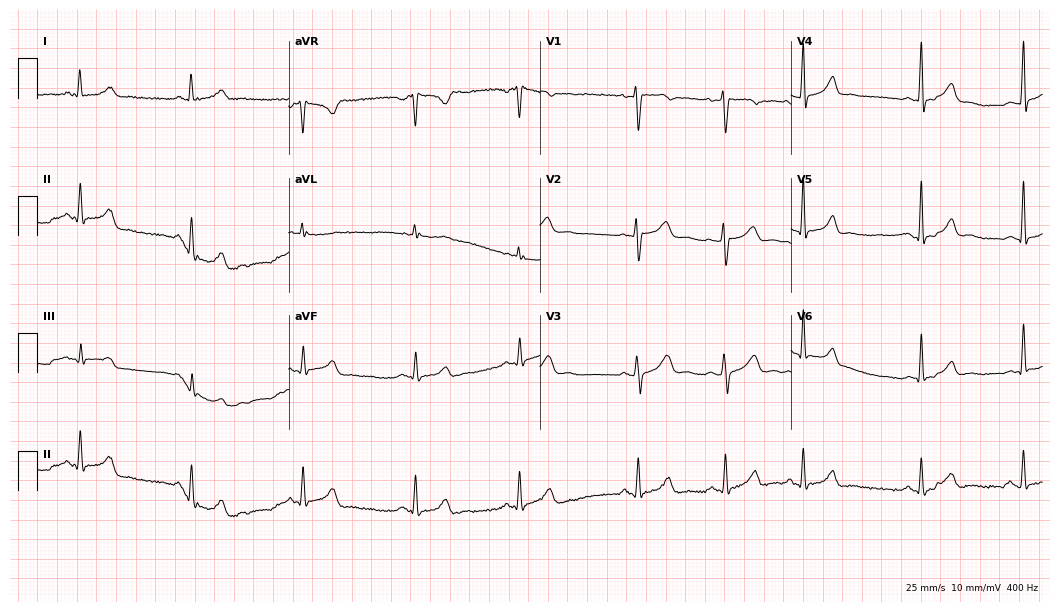
Resting 12-lead electrocardiogram (10.2-second recording at 400 Hz). Patient: a female, 36 years old. None of these six findings is recorded: first-degree AV block, right bundle branch block, left bundle branch block, sinus bradycardia, atrial fibrillation, sinus tachycardia.